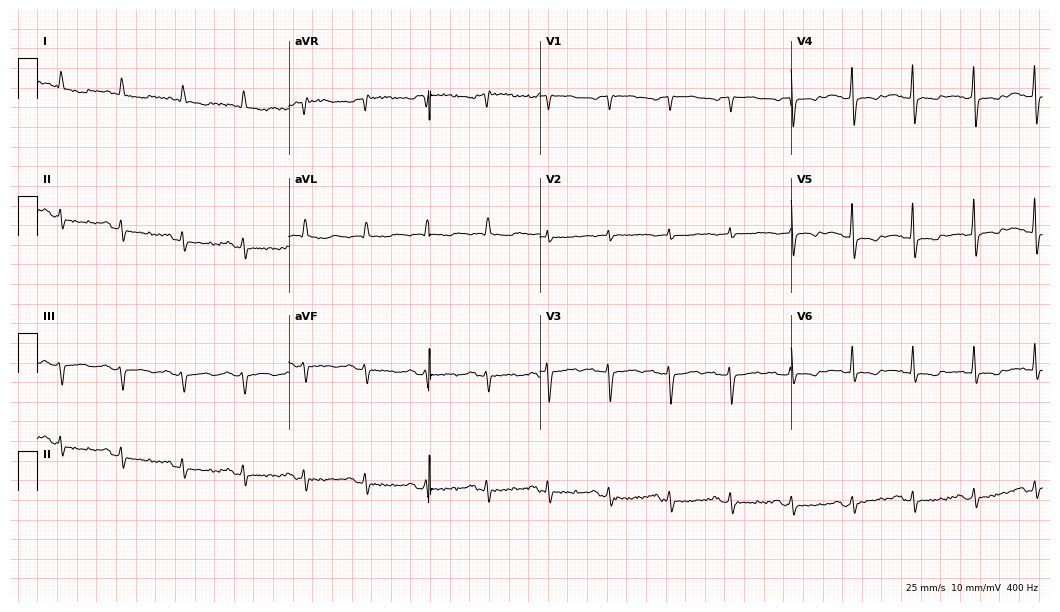
12-lead ECG from a 73-year-old woman (10.2-second recording at 400 Hz). No first-degree AV block, right bundle branch block (RBBB), left bundle branch block (LBBB), sinus bradycardia, atrial fibrillation (AF) or sinus tachycardia recorded for this tracing.